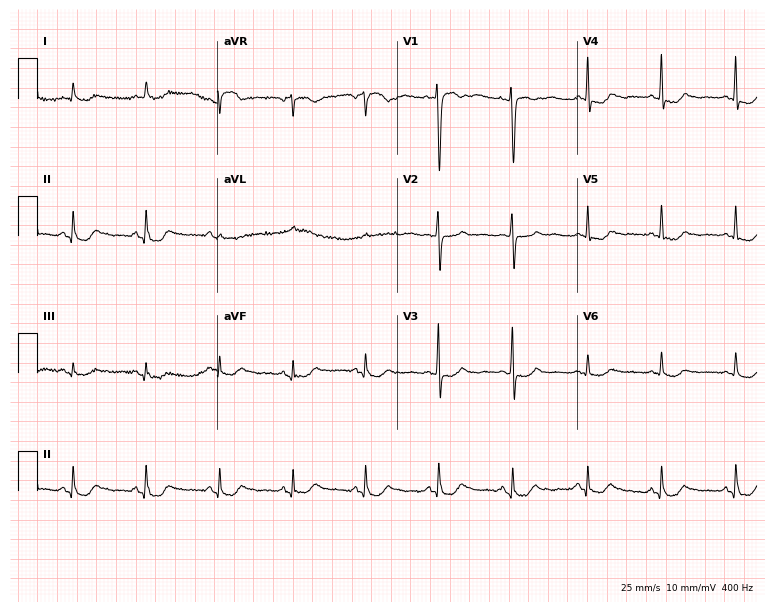
Electrocardiogram (7.3-second recording at 400 Hz), a male patient, 74 years old. Of the six screened findings (first-degree AV block, right bundle branch block (RBBB), left bundle branch block (LBBB), sinus bradycardia, atrial fibrillation (AF), sinus tachycardia), none is recorded.